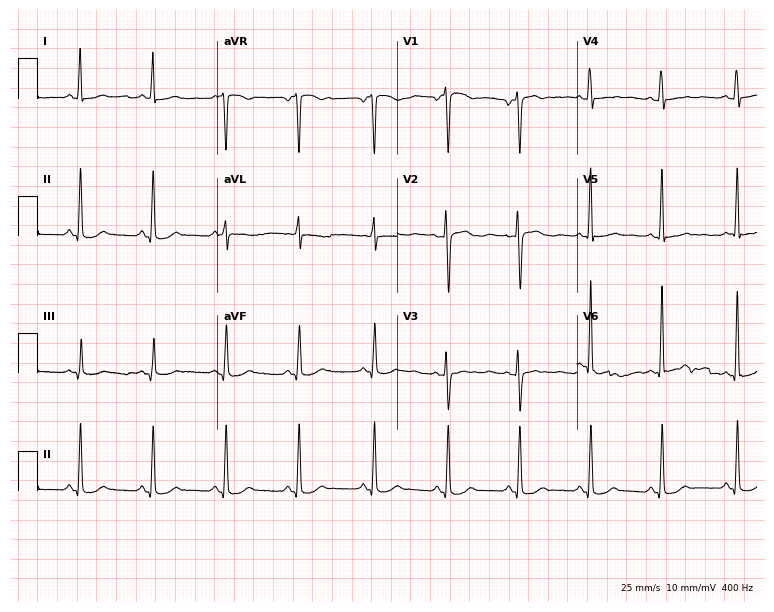
Resting 12-lead electrocardiogram. Patient: a 29-year-old female. None of these six findings is recorded: first-degree AV block, right bundle branch block, left bundle branch block, sinus bradycardia, atrial fibrillation, sinus tachycardia.